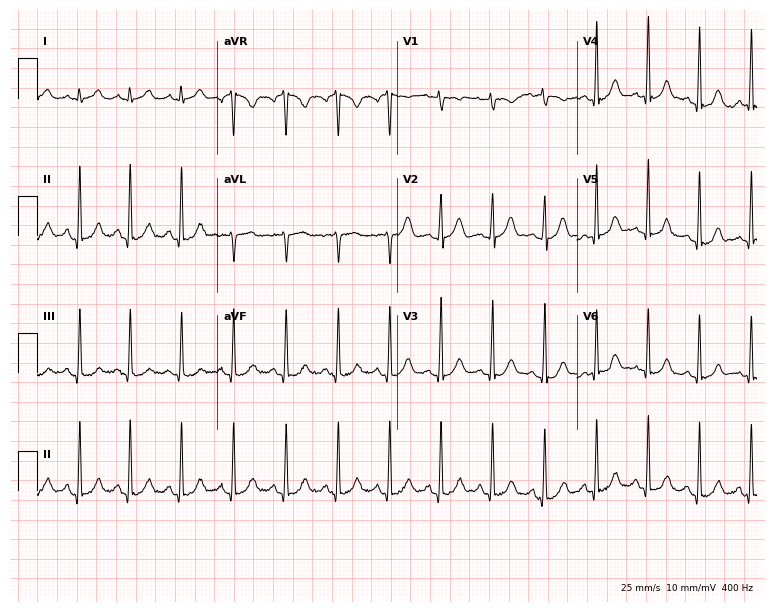
Resting 12-lead electrocardiogram. Patient: a female, 26 years old. The tracing shows sinus tachycardia (a sinus rate of 100 beats per minute or more).